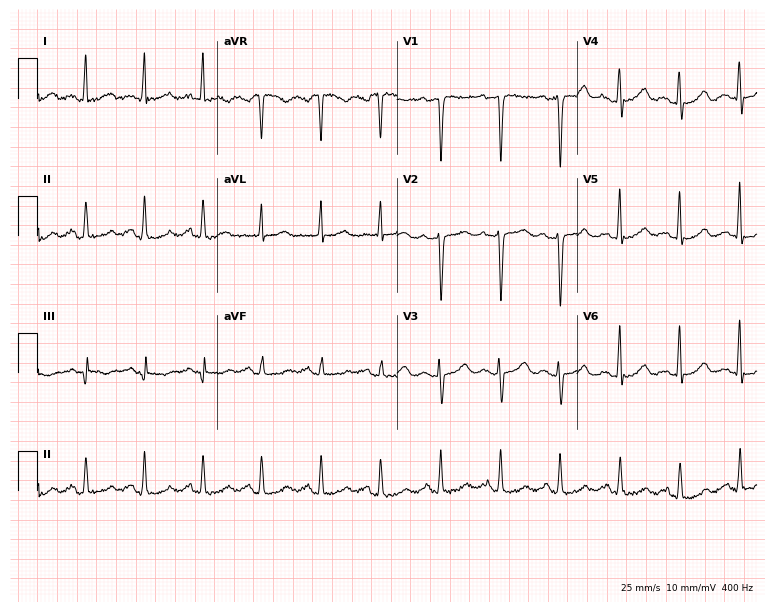
Resting 12-lead electrocardiogram (7.3-second recording at 400 Hz). Patient: a 25-year-old female. None of these six findings is recorded: first-degree AV block, right bundle branch block, left bundle branch block, sinus bradycardia, atrial fibrillation, sinus tachycardia. Other findings, if any, are not listed.